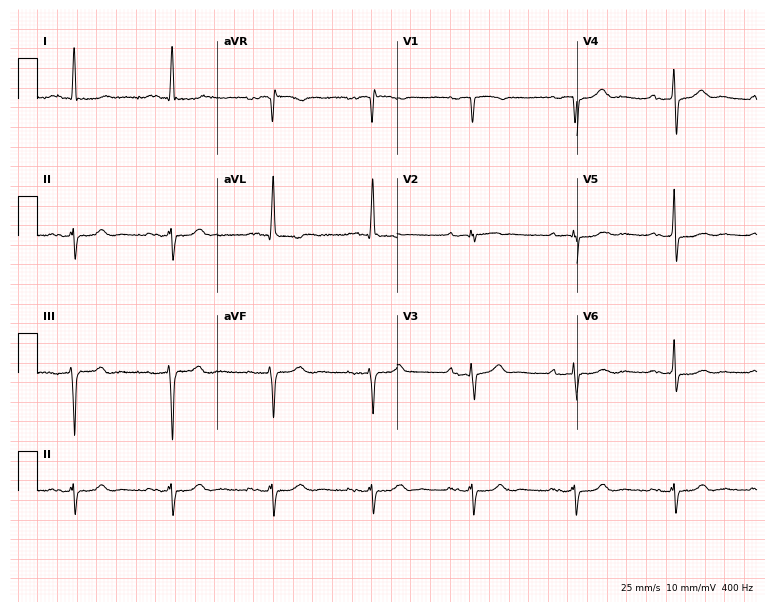
Standard 12-lead ECG recorded from a 68-year-old man. The tracing shows first-degree AV block.